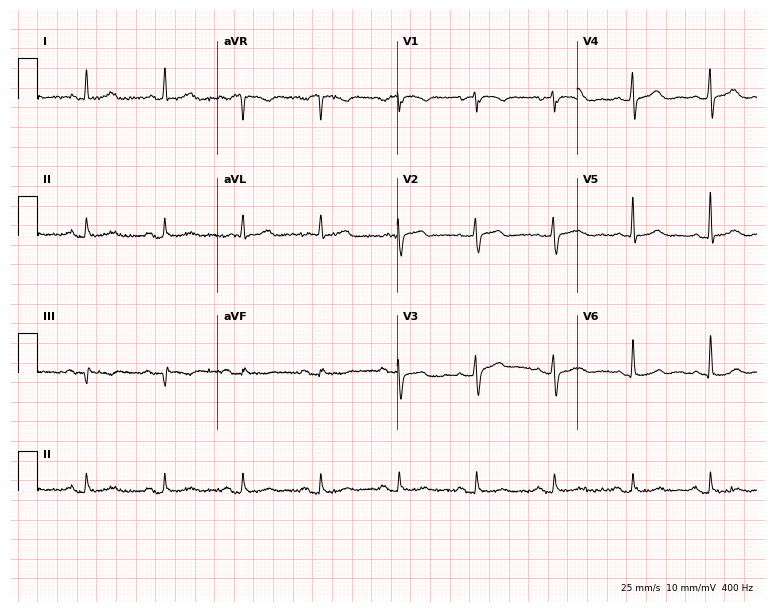
12-lead ECG from an 80-year-old woman. Screened for six findings — first-degree AV block, right bundle branch block (RBBB), left bundle branch block (LBBB), sinus bradycardia, atrial fibrillation (AF), sinus tachycardia — none is recorded.